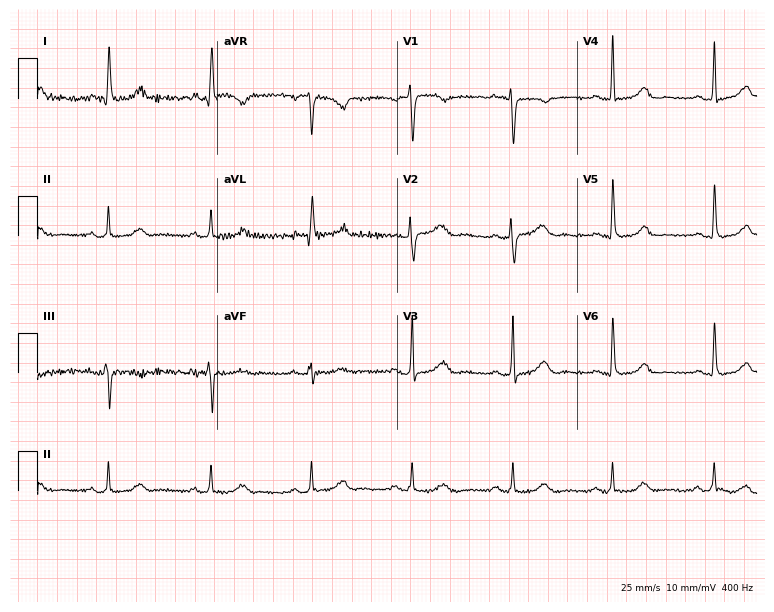
Standard 12-lead ECG recorded from a male patient, 72 years old. None of these six findings is recorded: first-degree AV block, right bundle branch block, left bundle branch block, sinus bradycardia, atrial fibrillation, sinus tachycardia.